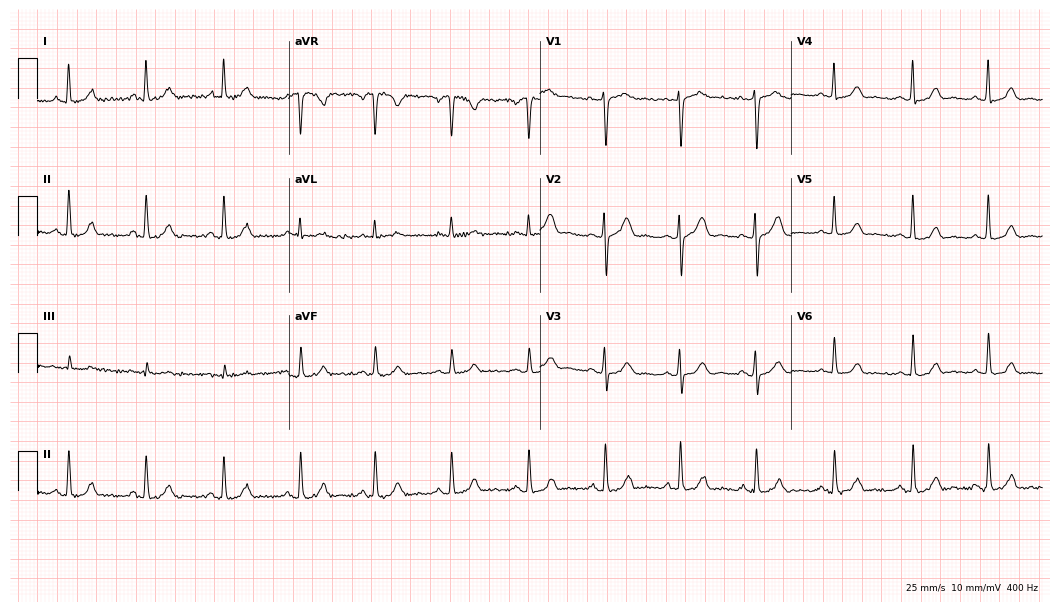
Electrocardiogram (10.2-second recording at 400 Hz), a 47-year-old woman. Of the six screened findings (first-degree AV block, right bundle branch block (RBBB), left bundle branch block (LBBB), sinus bradycardia, atrial fibrillation (AF), sinus tachycardia), none is recorded. Other findings, if any, are not listed.